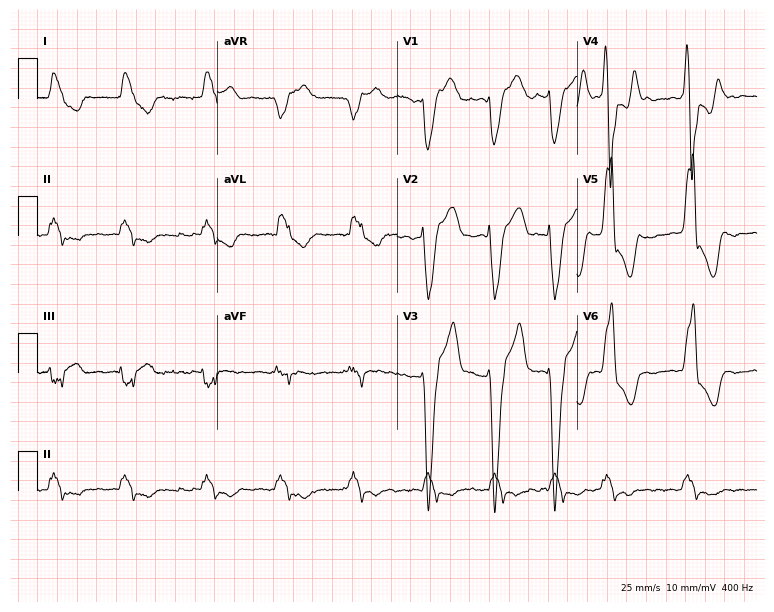
12-lead ECG (7.3-second recording at 400 Hz) from a 50-year-old male. Findings include first-degree AV block, left bundle branch block, atrial fibrillation.